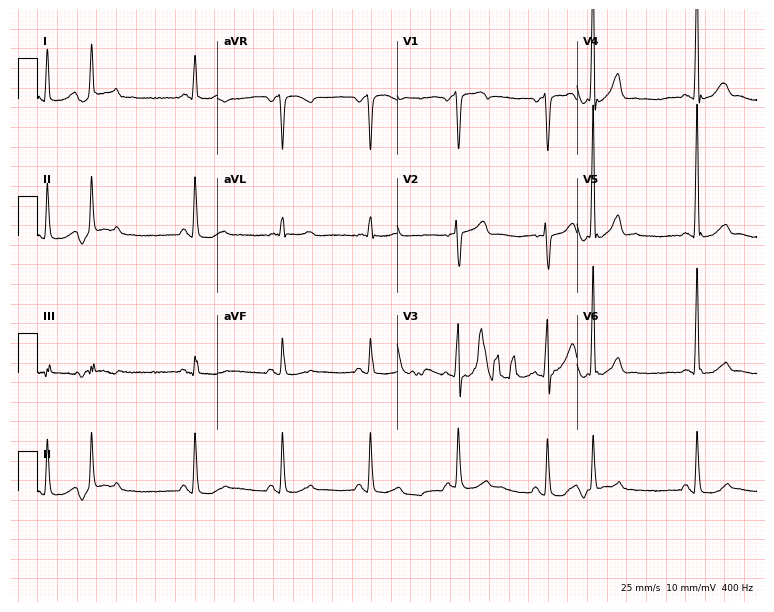
12-lead ECG from a 59-year-old male patient. No first-degree AV block, right bundle branch block (RBBB), left bundle branch block (LBBB), sinus bradycardia, atrial fibrillation (AF) or sinus tachycardia recorded for this tracing. Only these six findings were labelled.